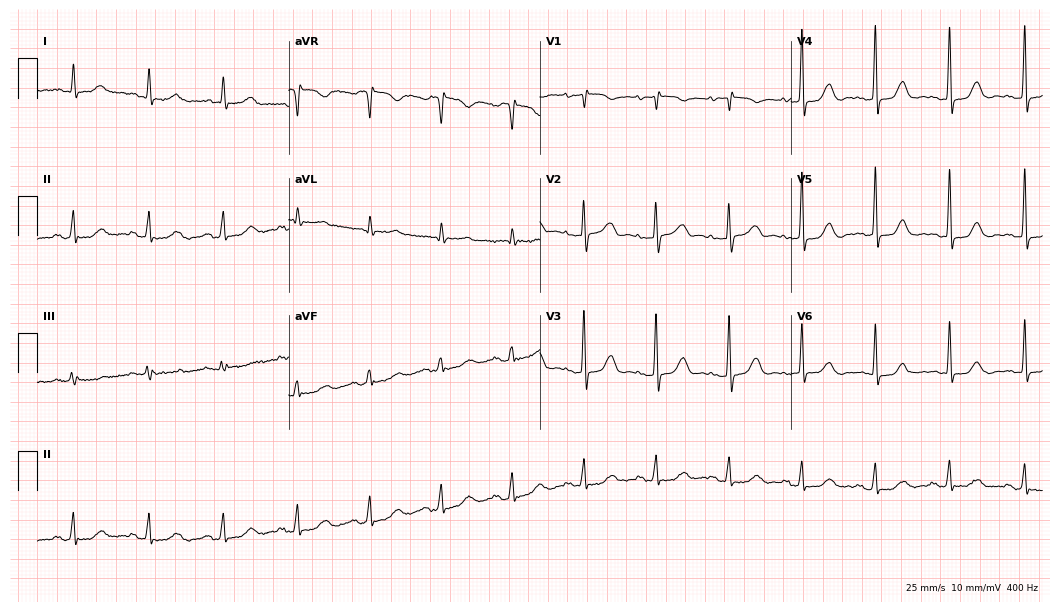
Standard 12-lead ECG recorded from a woman, 71 years old. None of these six findings is recorded: first-degree AV block, right bundle branch block (RBBB), left bundle branch block (LBBB), sinus bradycardia, atrial fibrillation (AF), sinus tachycardia.